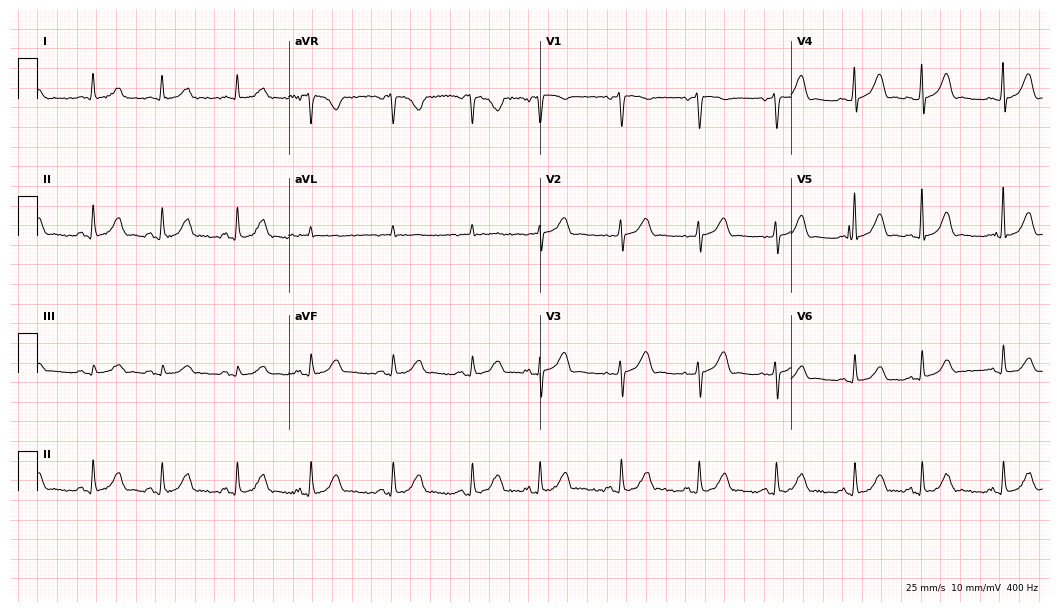
ECG — a woman, 77 years old. Labelled as a normal ECG.